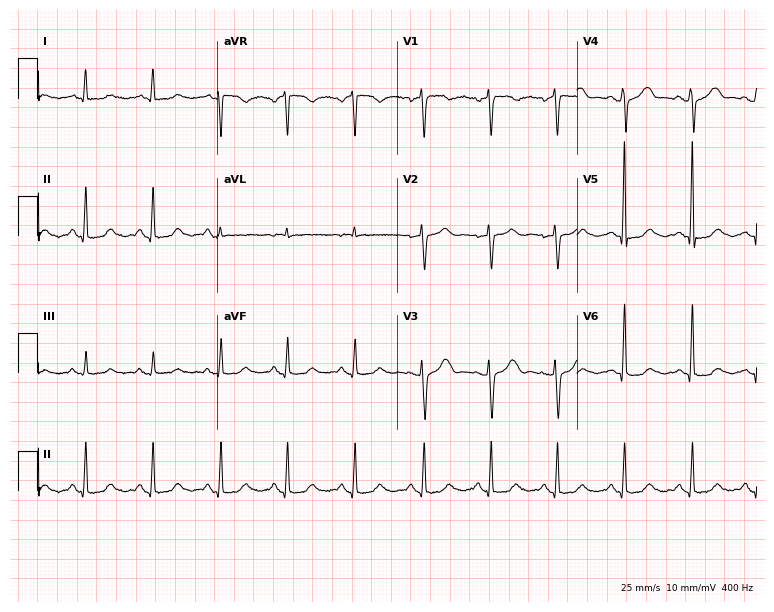
Electrocardiogram, a female, 60 years old. Overall reading on record: normal ECG.